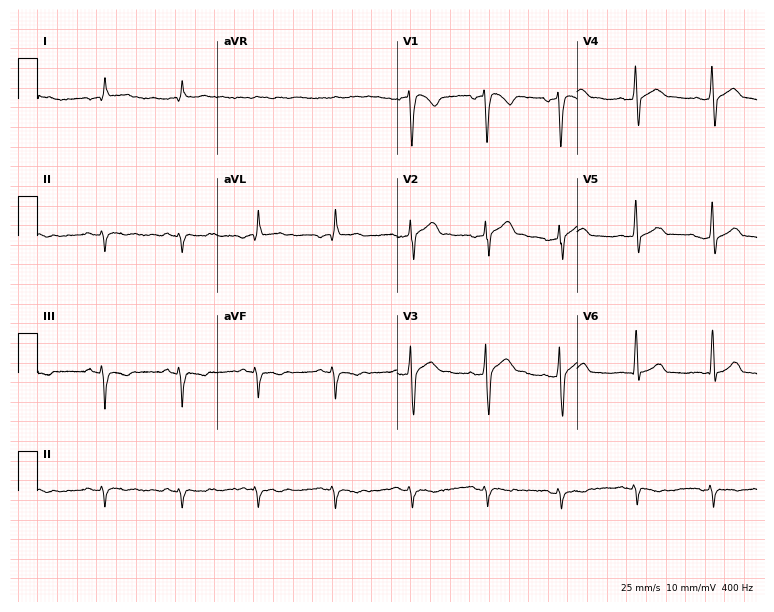
Standard 12-lead ECG recorded from a 39-year-old male patient (7.3-second recording at 400 Hz). None of these six findings is recorded: first-degree AV block, right bundle branch block, left bundle branch block, sinus bradycardia, atrial fibrillation, sinus tachycardia.